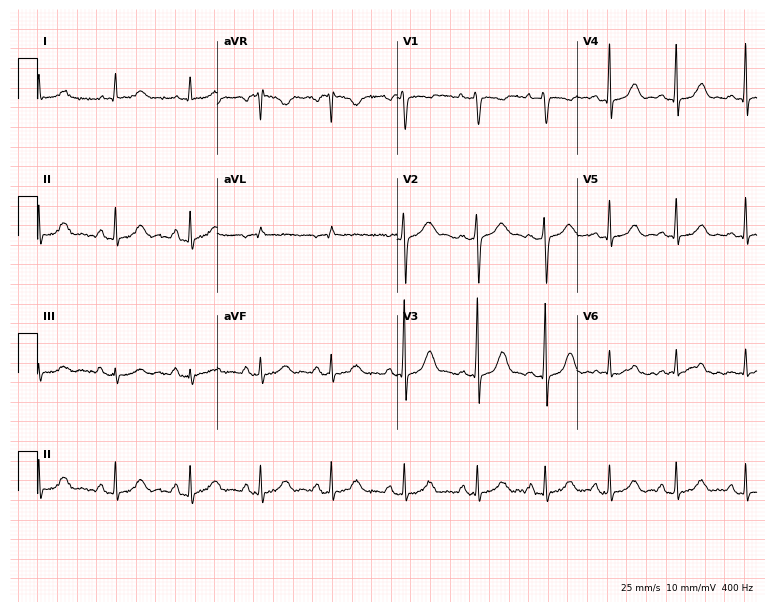
12-lead ECG from a woman, 19 years old. No first-degree AV block, right bundle branch block, left bundle branch block, sinus bradycardia, atrial fibrillation or sinus tachycardia recorded for this tracing.